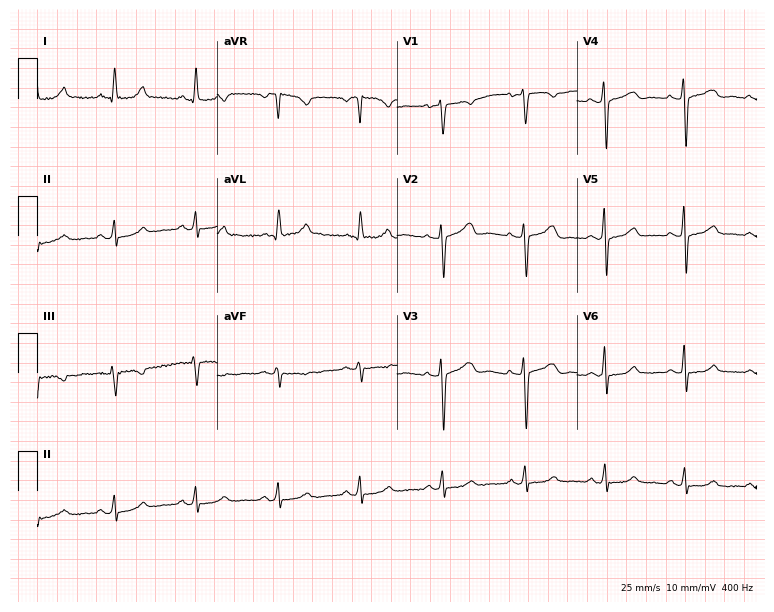
Electrocardiogram (7.3-second recording at 400 Hz), a 59-year-old woman. Of the six screened findings (first-degree AV block, right bundle branch block, left bundle branch block, sinus bradycardia, atrial fibrillation, sinus tachycardia), none is recorded. Only these six findings were labelled.